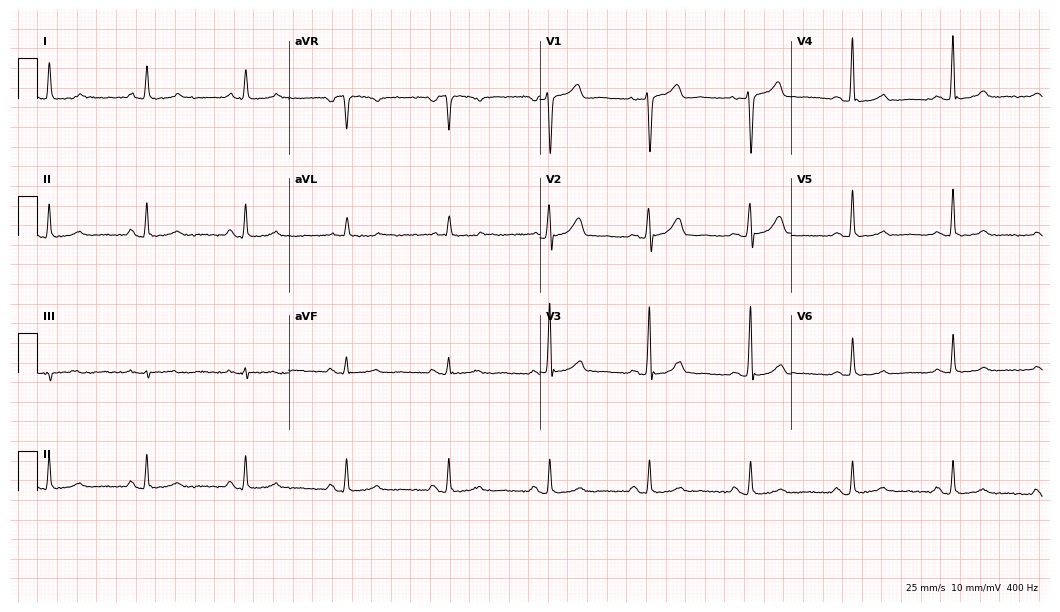
12-lead ECG from a man, 56 years old (10.2-second recording at 400 Hz). No first-degree AV block, right bundle branch block, left bundle branch block, sinus bradycardia, atrial fibrillation or sinus tachycardia recorded for this tracing. Only these six findings were labelled.